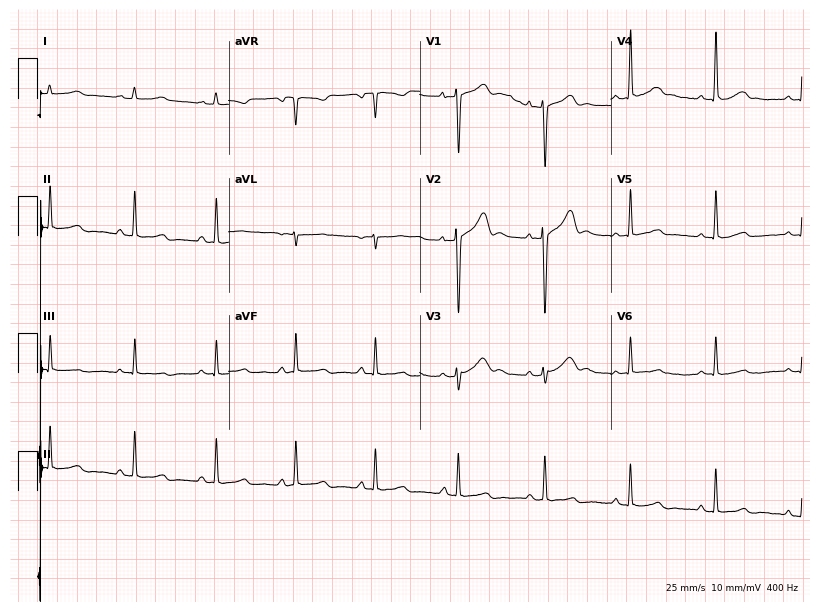
Standard 12-lead ECG recorded from a female, 25 years old. None of these six findings is recorded: first-degree AV block, right bundle branch block, left bundle branch block, sinus bradycardia, atrial fibrillation, sinus tachycardia.